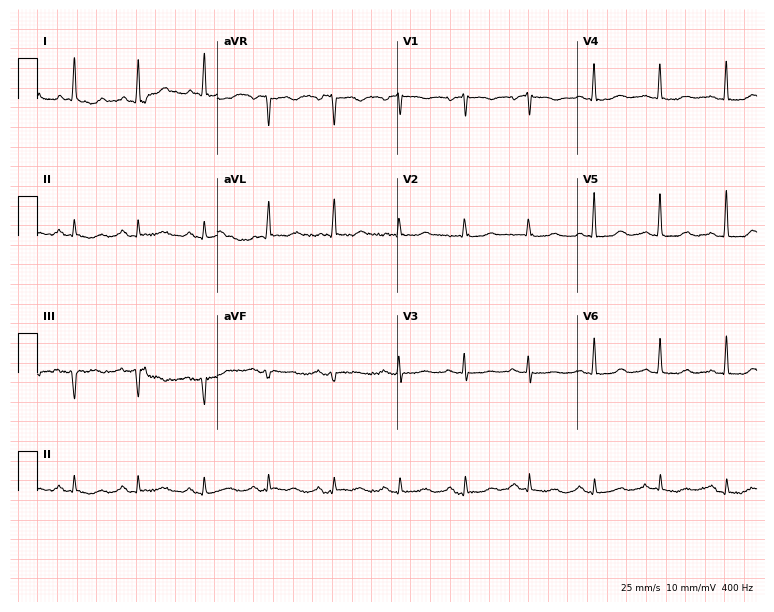
ECG — a female, 74 years old. Screened for six findings — first-degree AV block, right bundle branch block, left bundle branch block, sinus bradycardia, atrial fibrillation, sinus tachycardia — none is recorded.